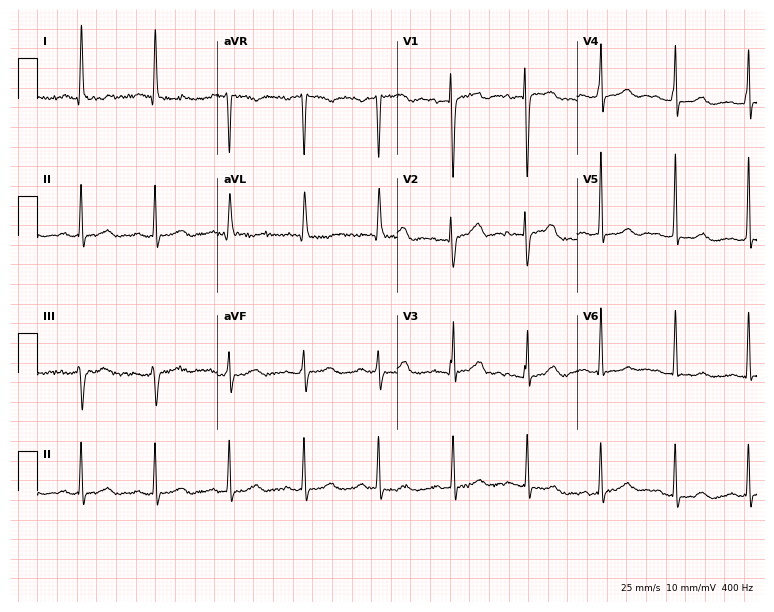
Electrocardiogram (7.3-second recording at 400 Hz), a woman, 72 years old. Of the six screened findings (first-degree AV block, right bundle branch block, left bundle branch block, sinus bradycardia, atrial fibrillation, sinus tachycardia), none is recorded.